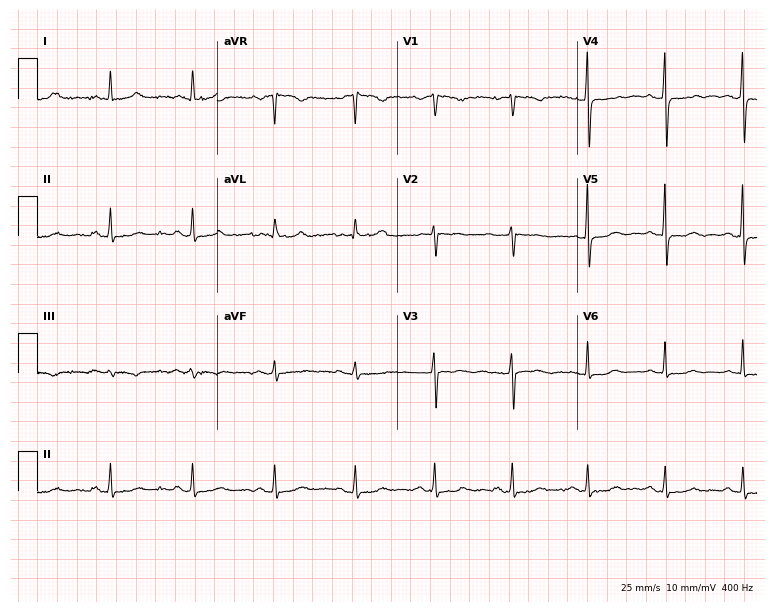
Standard 12-lead ECG recorded from a 77-year-old female. None of these six findings is recorded: first-degree AV block, right bundle branch block, left bundle branch block, sinus bradycardia, atrial fibrillation, sinus tachycardia. Findings outside these six are not listed.